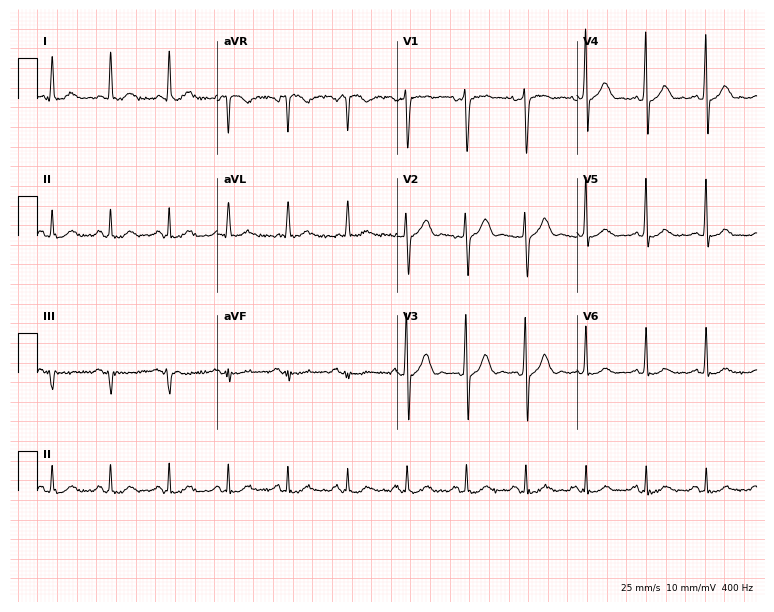
12-lead ECG (7.3-second recording at 400 Hz) from a 77-year-old woman. Labelled as a normal ECG.